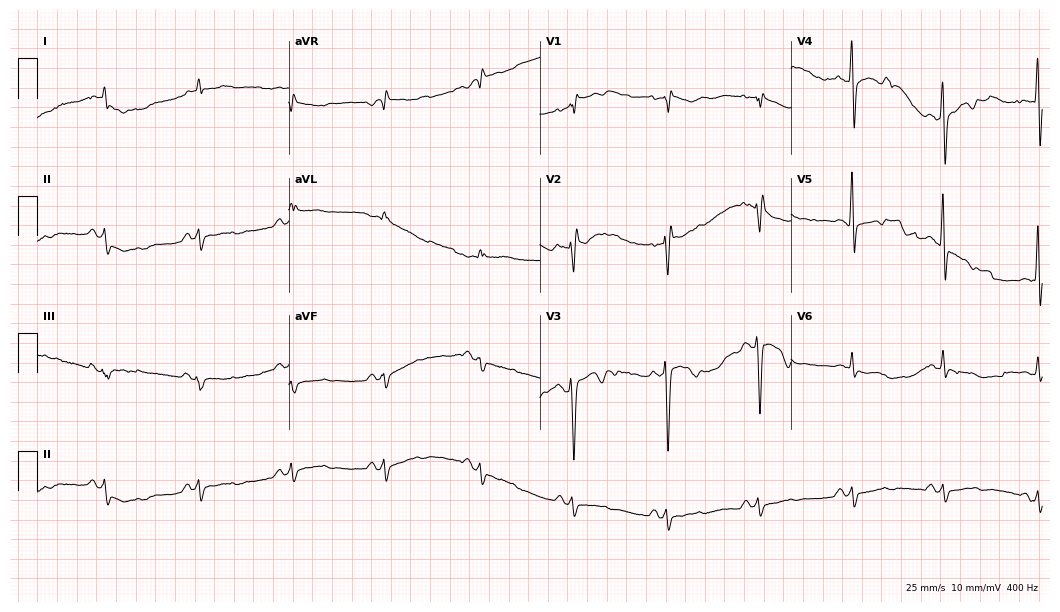
Standard 12-lead ECG recorded from a female patient, 80 years old. None of these six findings is recorded: first-degree AV block, right bundle branch block (RBBB), left bundle branch block (LBBB), sinus bradycardia, atrial fibrillation (AF), sinus tachycardia. Only these six findings were labelled.